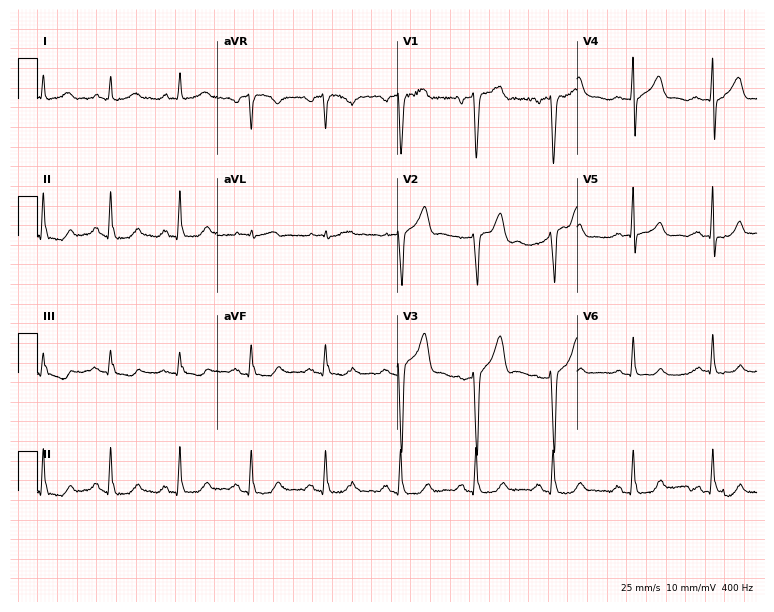
12-lead ECG (7.3-second recording at 400 Hz) from a male, 55 years old. Labelled as a normal ECG.